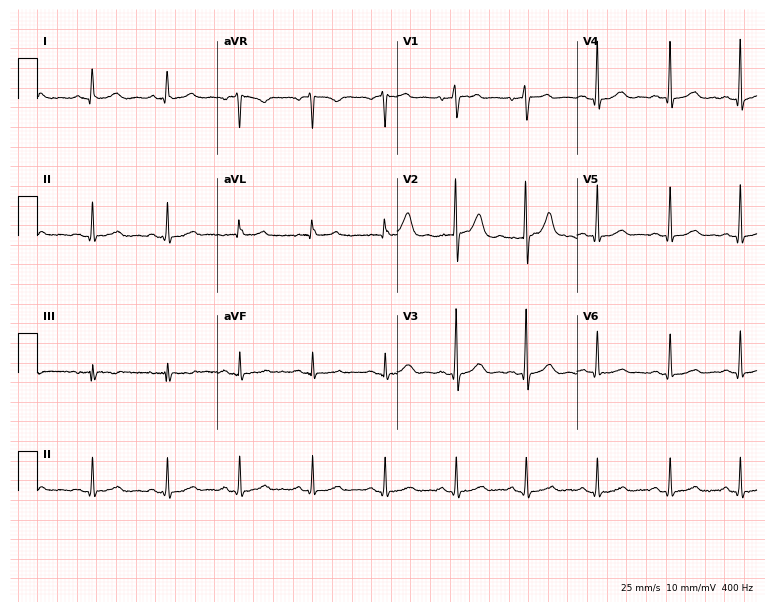
Standard 12-lead ECG recorded from a man, 46 years old. Read as a normal ECG.